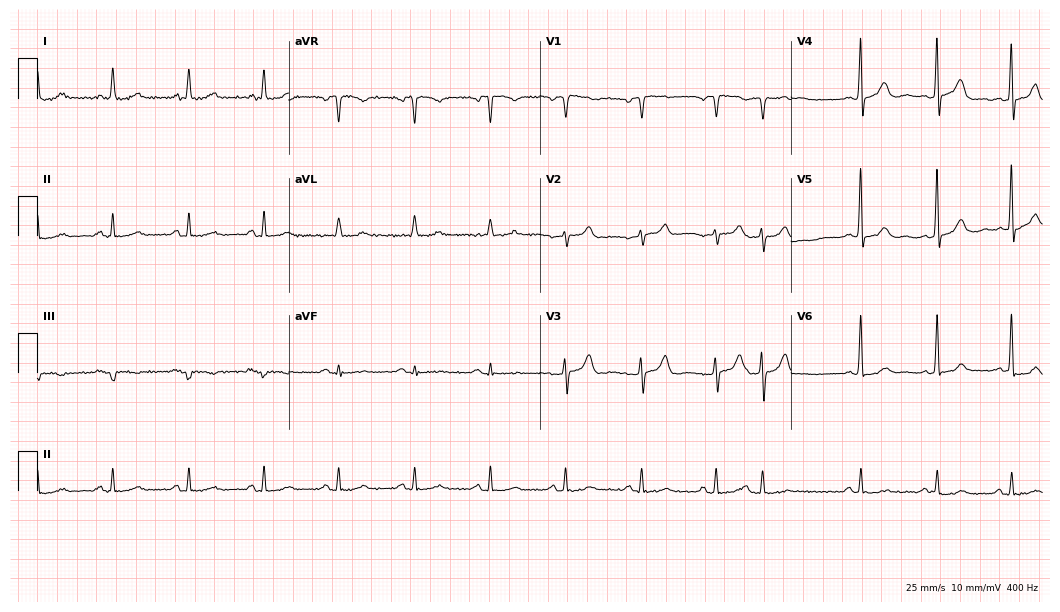
Resting 12-lead electrocardiogram. Patient: a 76-year-old male. Read as a normal ECG.